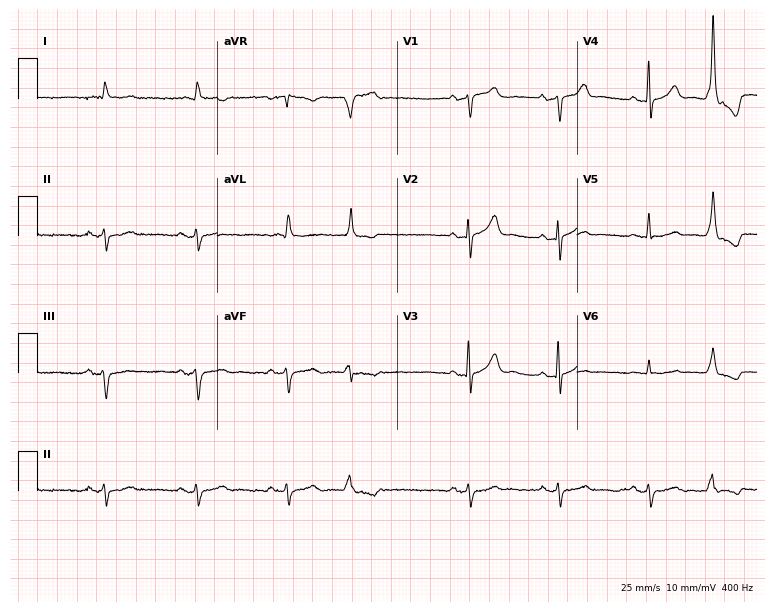
Electrocardiogram, a male, 83 years old. Of the six screened findings (first-degree AV block, right bundle branch block, left bundle branch block, sinus bradycardia, atrial fibrillation, sinus tachycardia), none is recorded.